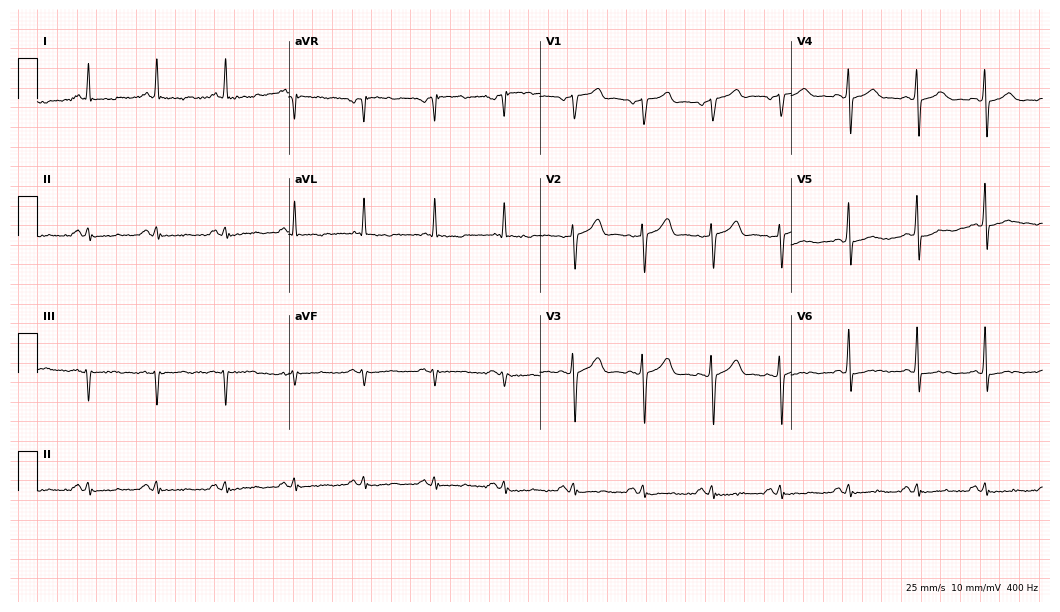
Electrocardiogram (10.2-second recording at 400 Hz), a man, 64 years old. Of the six screened findings (first-degree AV block, right bundle branch block, left bundle branch block, sinus bradycardia, atrial fibrillation, sinus tachycardia), none is recorded.